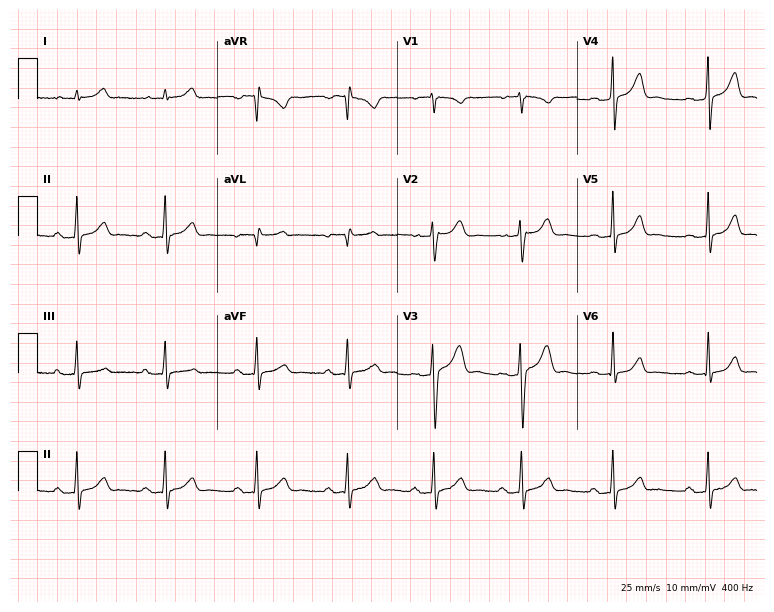
ECG (7.3-second recording at 400 Hz) — a woman, 29 years old. Screened for six findings — first-degree AV block, right bundle branch block (RBBB), left bundle branch block (LBBB), sinus bradycardia, atrial fibrillation (AF), sinus tachycardia — none is recorded.